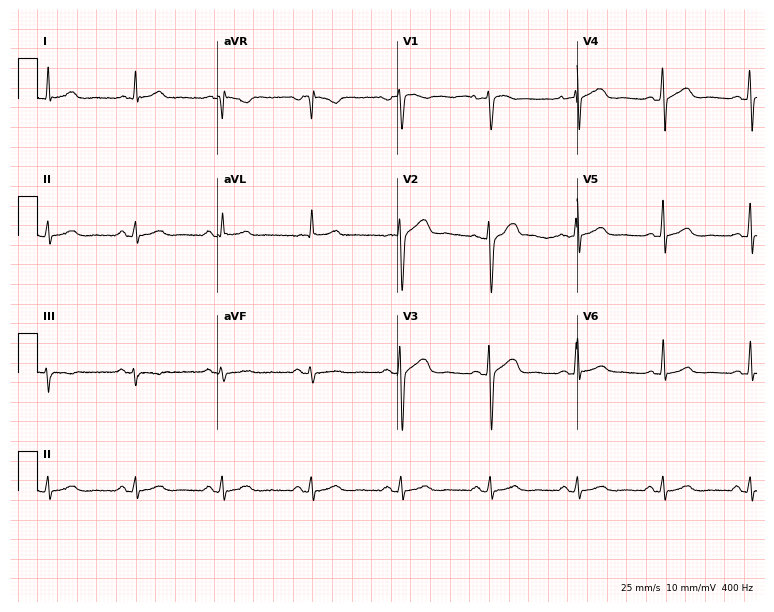
Resting 12-lead electrocardiogram (7.3-second recording at 400 Hz). Patient: a male, 47 years old. Read as a normal ECG.